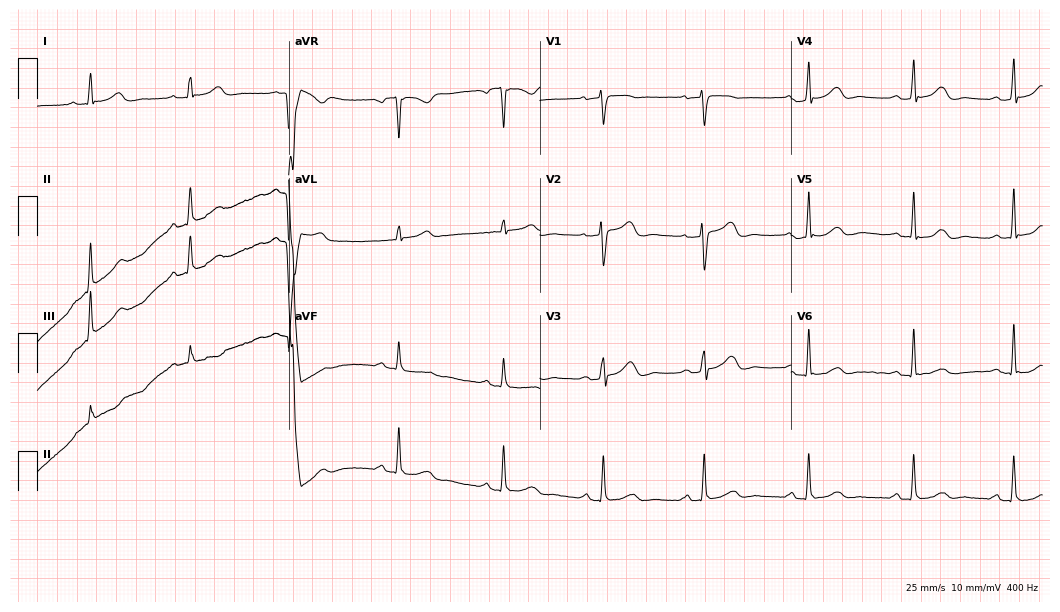
ECG — a 58-year-old female patient. Labelled as a normal ECG.